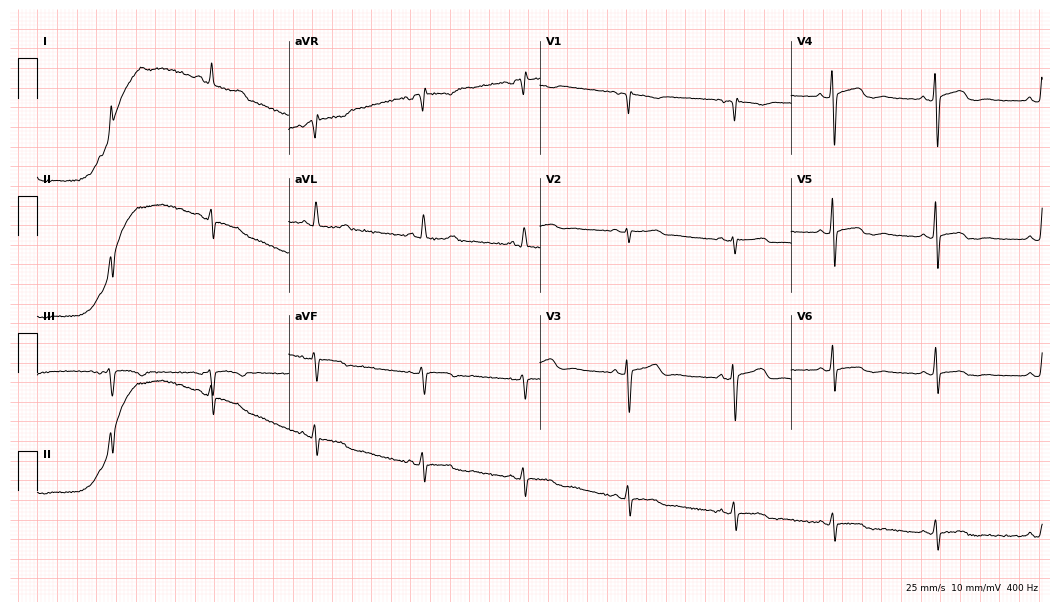
Electrocardiogram (10.2-second recording at 400 Hz), a woman, 50 years old. Of the six screened findings (first-degree AV block, right bundle branch block, left bundle branch block, sinus bradycardia, atrial fibrillation, sinus tachycardia), none is recorded.